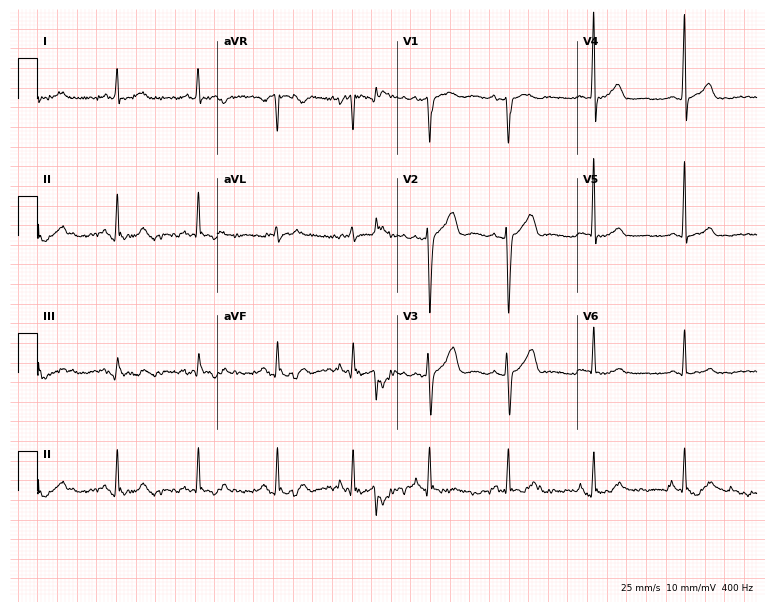
Standard 12-lead ECG recorded from a male patient, 78 years old. Read as a normal ECG.